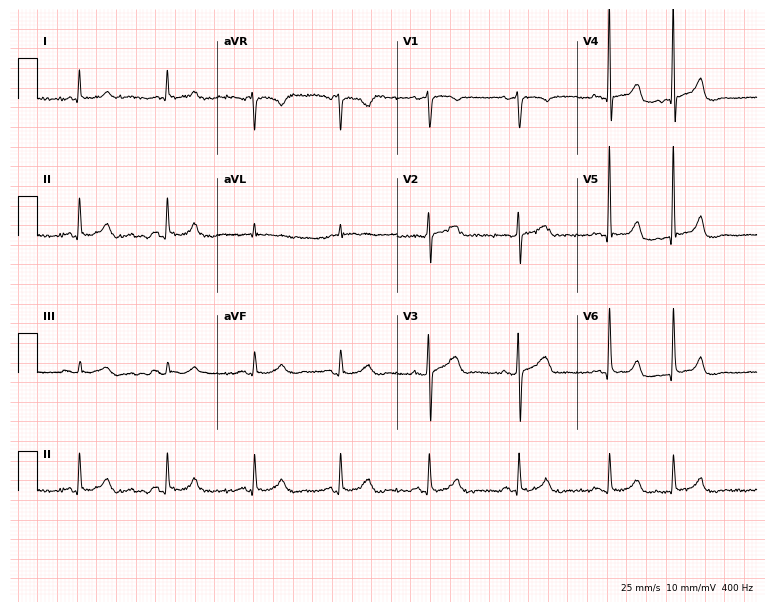
Standard 12-lead ECG recorded from a male patient, 71 years old (7.3-second recording at 400 Hz). Read as a normal ECG.